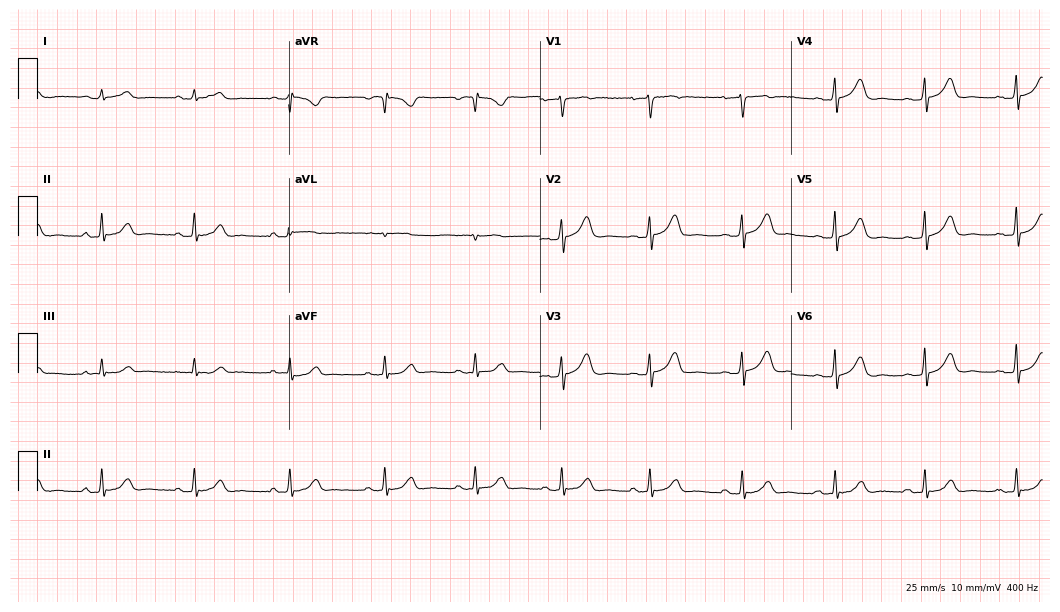
12-lead ECG (10.2-second recording at 400 Hz) from a 56-year-old male. Labelled as a normal ECG.